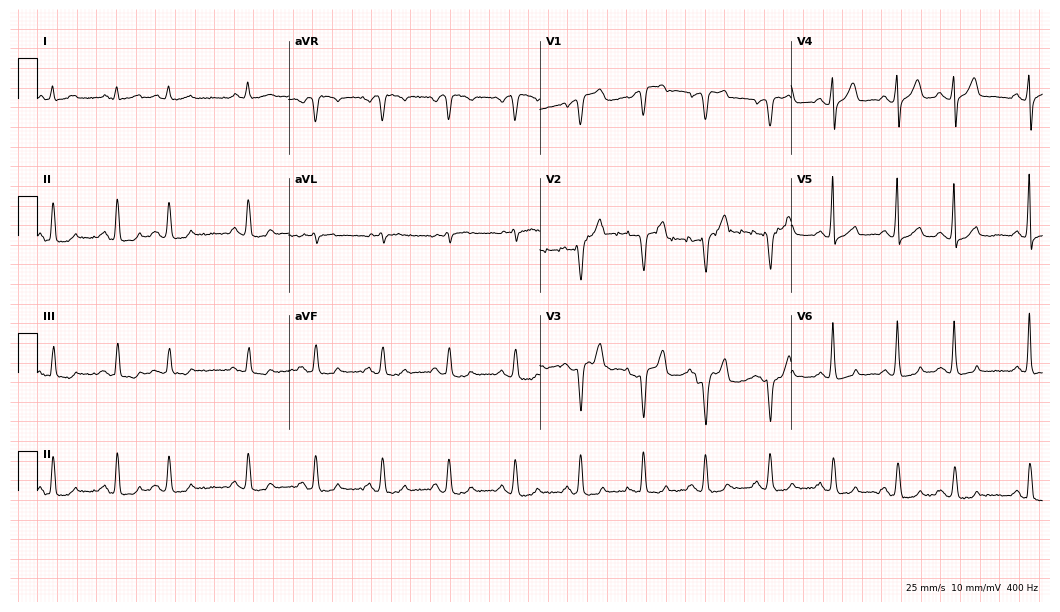
ECG (10.2-second recording at 400 Hz) — an 81-year-old male patient. Screened for six findings — first-degree AV block, right bundle branch block, left bundle branch block, sinus bradycardia, atrial fibrillation, sinus tachycardia — none is recorded.